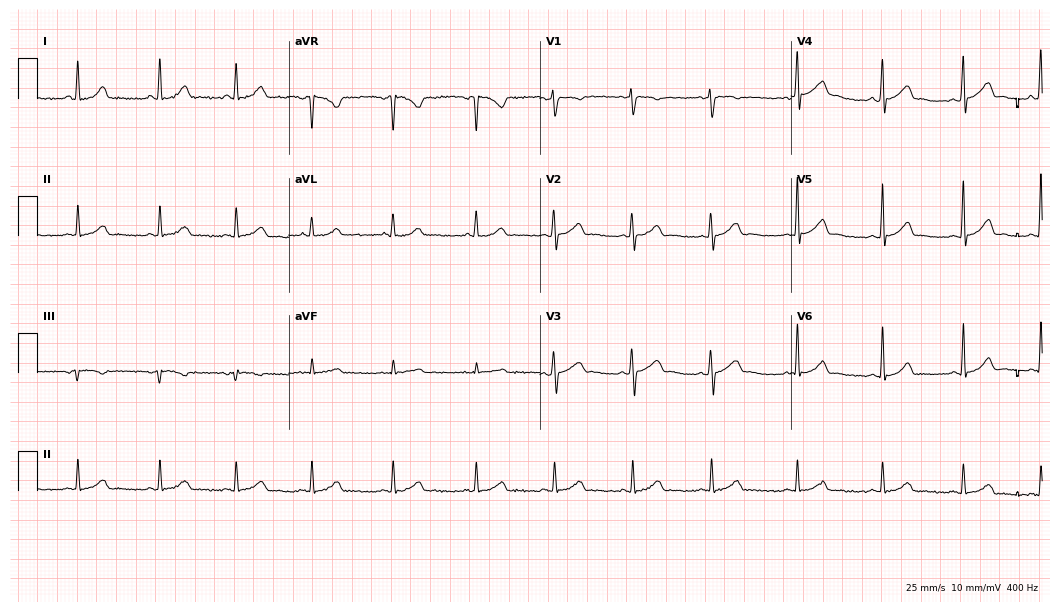
12-lead ECG (10.2-second recording at 400 Hz) from a female patient, 24 years old. Labelled as a normal ECG.